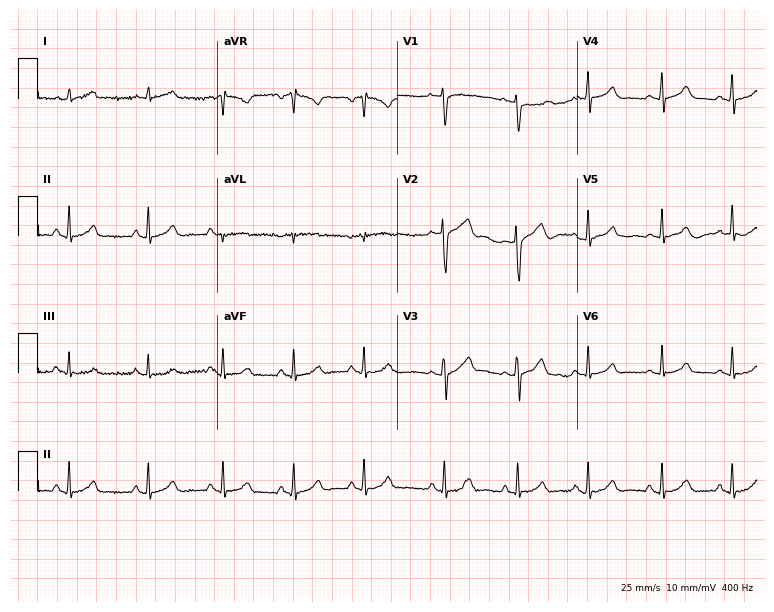
Electrocardiogram (7.3-second recording at 400 Hz), a 24-year-old woman. Of the six screened findings (first-degree AV block, right bundle branch block, left bundle branch block, sinus bradycardia, atrial fibrillation, sinus tachycardia), none is recorded.